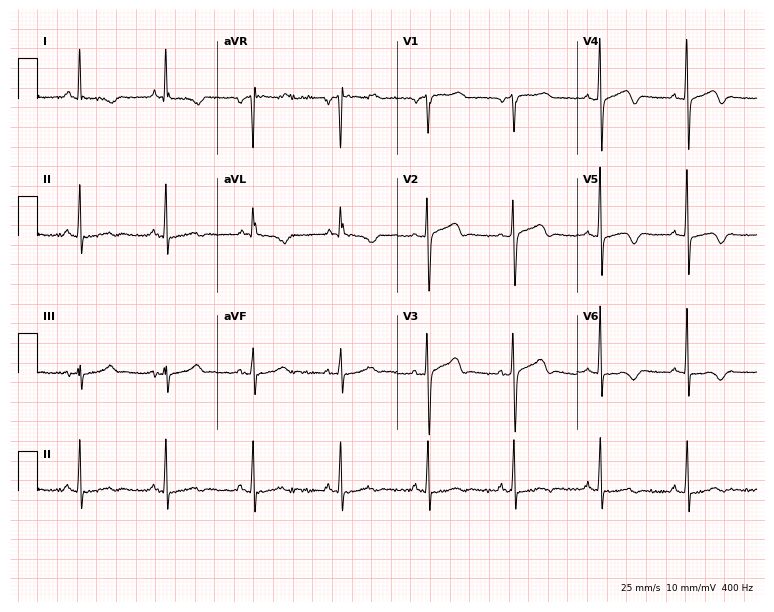
Electrocardiogram, a 69-year-old female patient. Of the six screened findings (first-degree AV block, right bundle branch block (RBBB), left bundle branch block (LBBB), sinus bradycardia, atrial fibrillation (AF), sinus tachycardia), none is recorded.